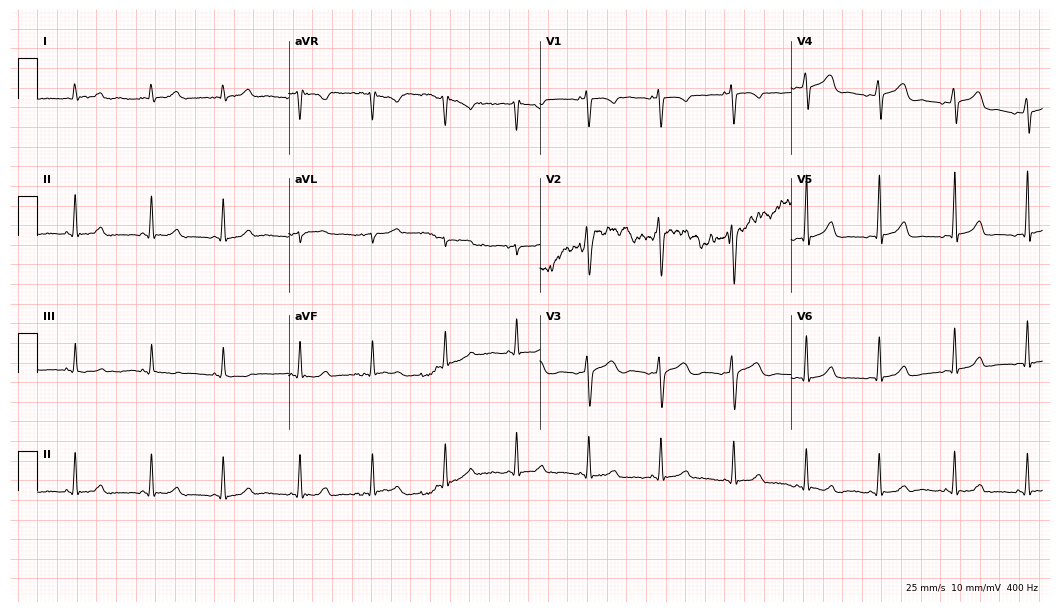
12-lead ECG from a 22-year-old female. Recorded interpretation: within normal limits.